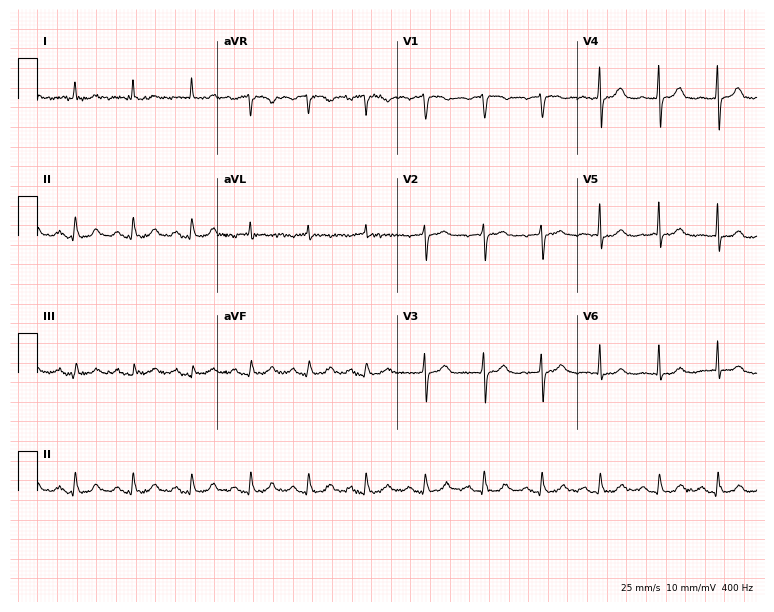
12-lead ECG from a female, 78 years old. No first-degree AV block, right bundle branch block (RBBB), left bundle branch block (LBBB), sinus bradycardia, atrial fibrillation (AF) or sinus tachycardia recorded for this tracing. Findings outside these six are not listed.